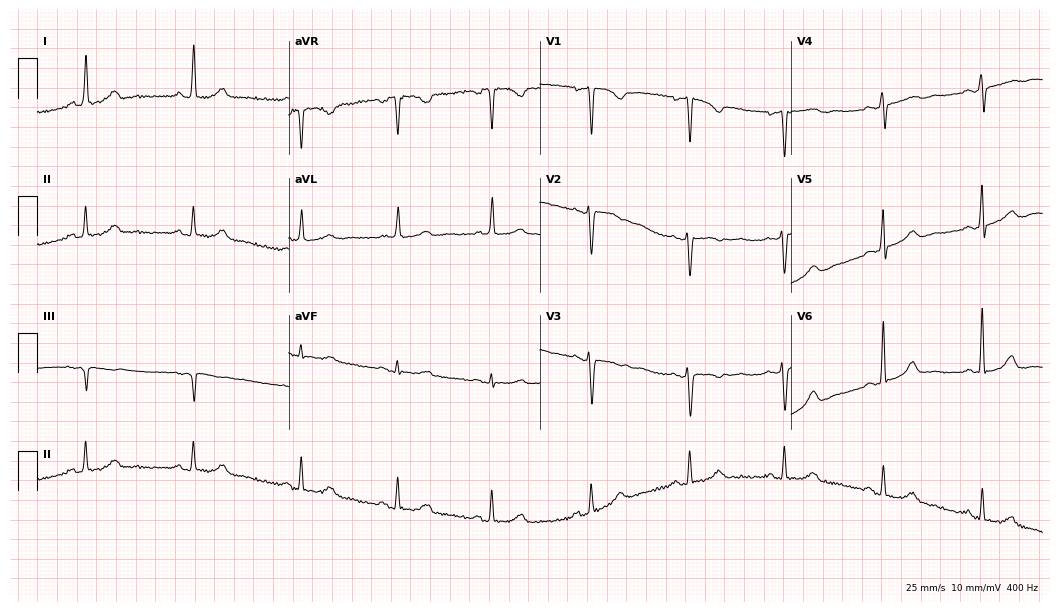
ECG (10.2-second recording at 400 Hz) — a female patient, 41 years old. Screened for six findings — first-degree AV block, right bundle branch block, left bundle branch block, sinus bradycardia, atrial fibrillation, sinus tachycardia — none is recorded. Findings outside these six are not listed.